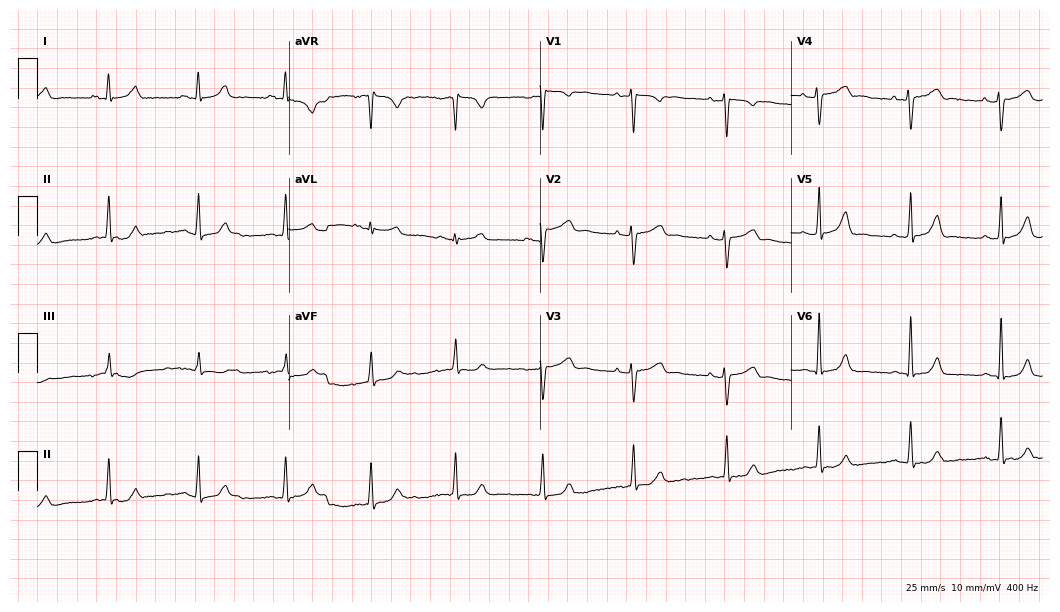
Standard 12-lead ECG recorded from a 41-year-old female patient (10.2-second recording at 400 Hz). Read as a normal ECG.